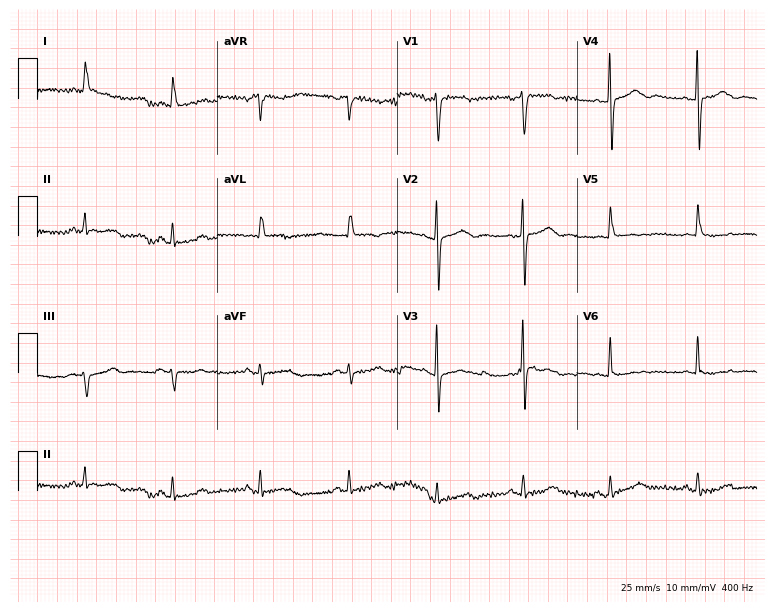
Resting 12-lead electrocardiogram. Patient: a female, 84 years old. None of these six findings is recorded: first-degree AV block, right bundle branch block, left bundle branch block, sinus bradycardia, atrial fibrillation, sinus tachycardia. Findings outside these six are not listed.